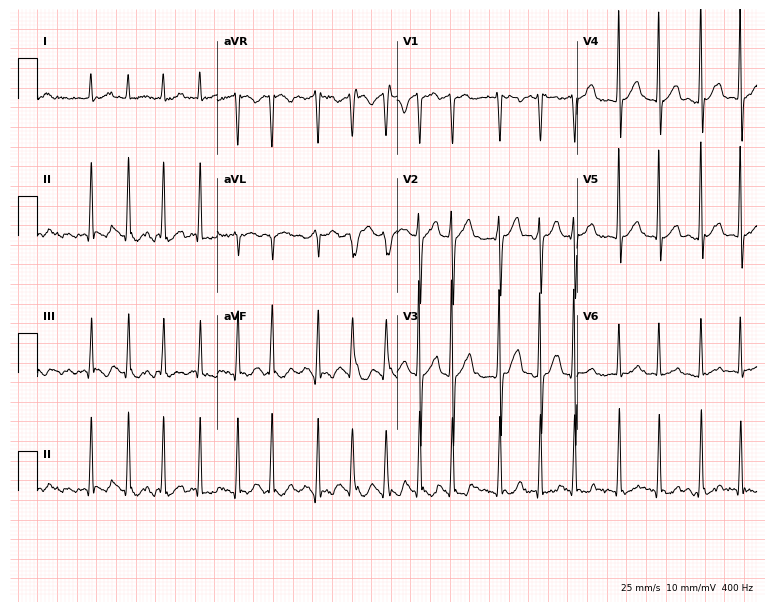
Resting 12-lead electrocardiogram (7.3-second recording at 400 Hz). Patient: a male, 48 years old. The tracing shows atrial fibrillation.